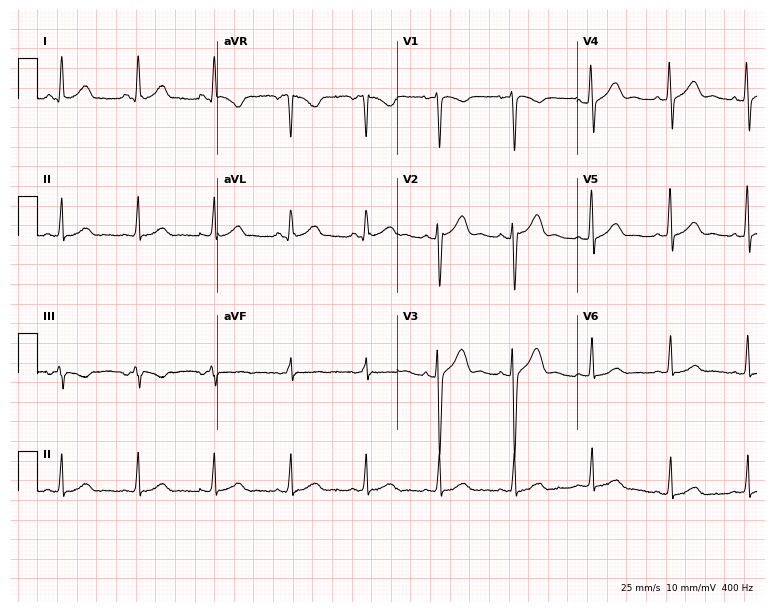
Electrocardiogram (7.3-second recording at 400 Hz), a woman, 40 years old. Overall reading on record: normal ECG.